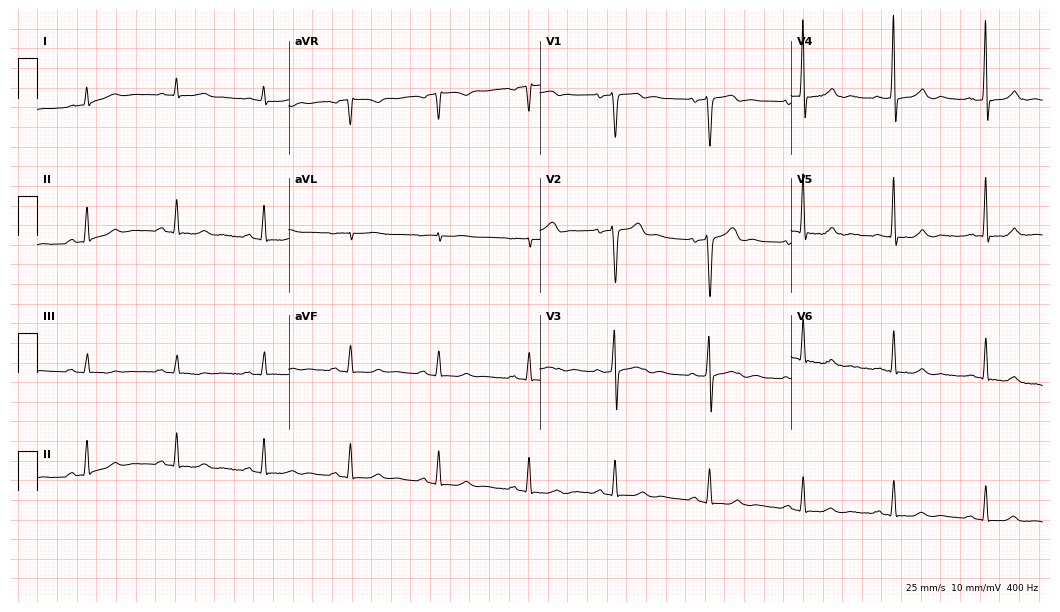
Standard 12-lead ECG recorded from a male patient, 52 years old (10.2-second recording at 400 Hz). None of these six findings is recorded: first-degree AV block, right bundle branch block, left bundle branch block, sinus bradycardia, atrial fibrillation, sinus tachycardia. Findings outside these six are not listed.